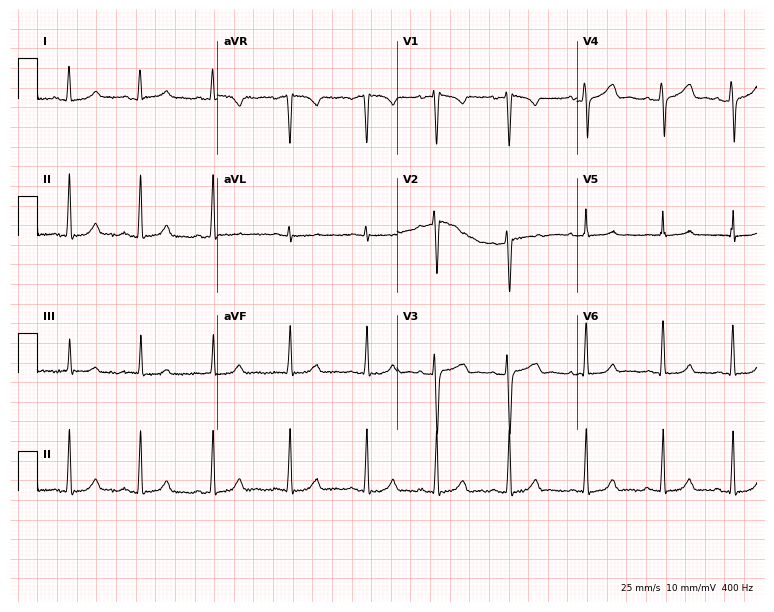
12-lead ECG from a female patient, 36 years old. Recorded interpretation: within normal limits.